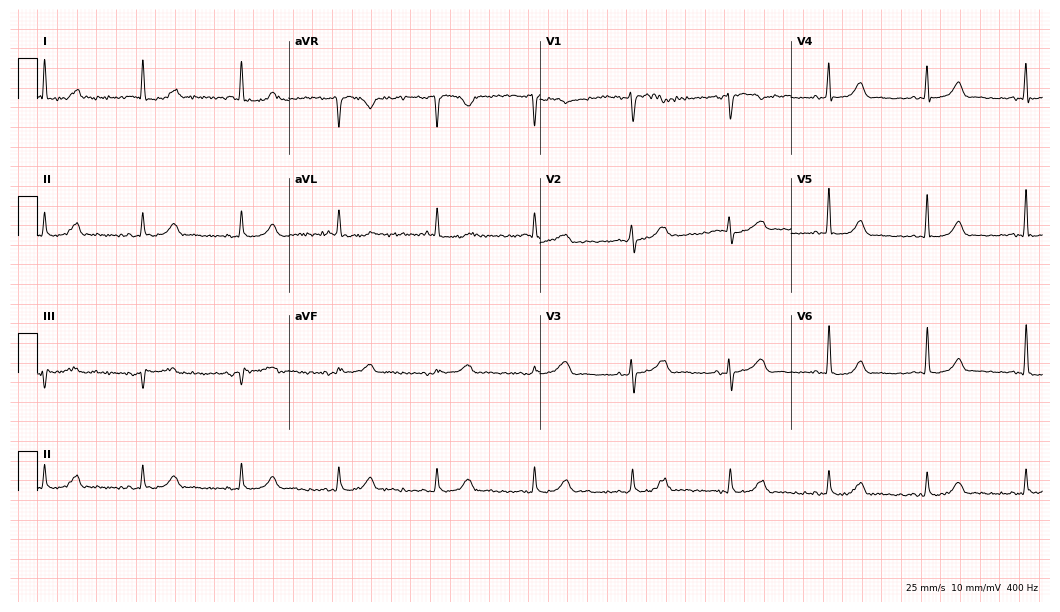
12-lead ECG from a female patient, 62 years old. Labelled as a normal ECG.